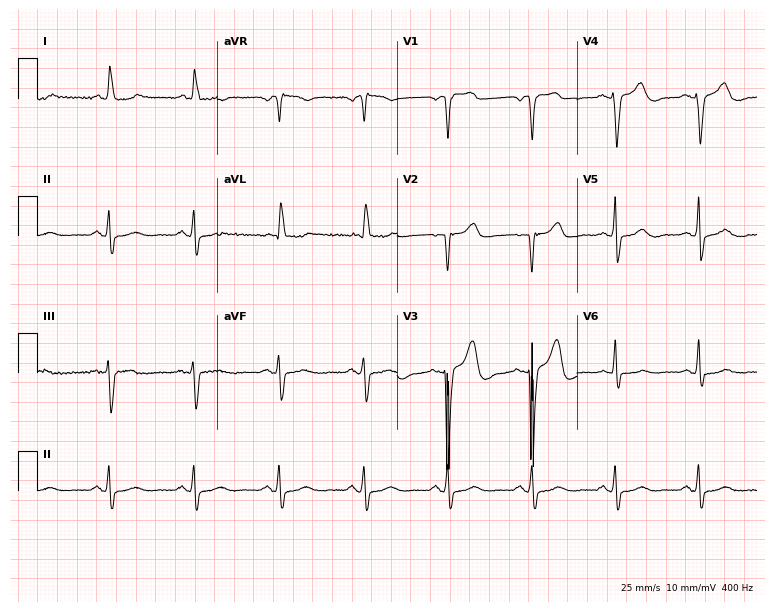
ECG (7.3-second recording at 400 Hz) — a 77-year-old woman. Screened for six findings — first-degree AV block, right bundle branch block, left bundle branch block, sinus bradycardia, atrial fibrillation, sinus tachycardia — none is recorded.